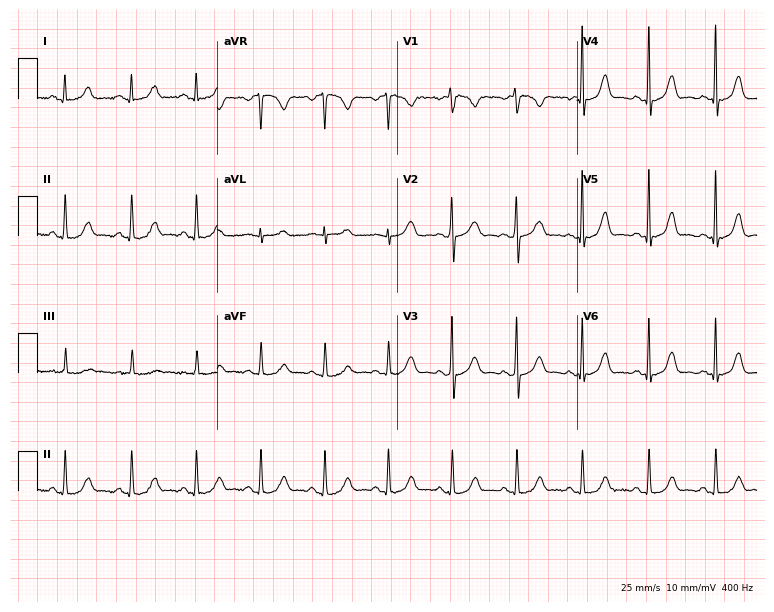
Electrocardiogram (7.3-second recording at 400 Hz), a 35-year-old female. Overall reading on record: normal ECG.